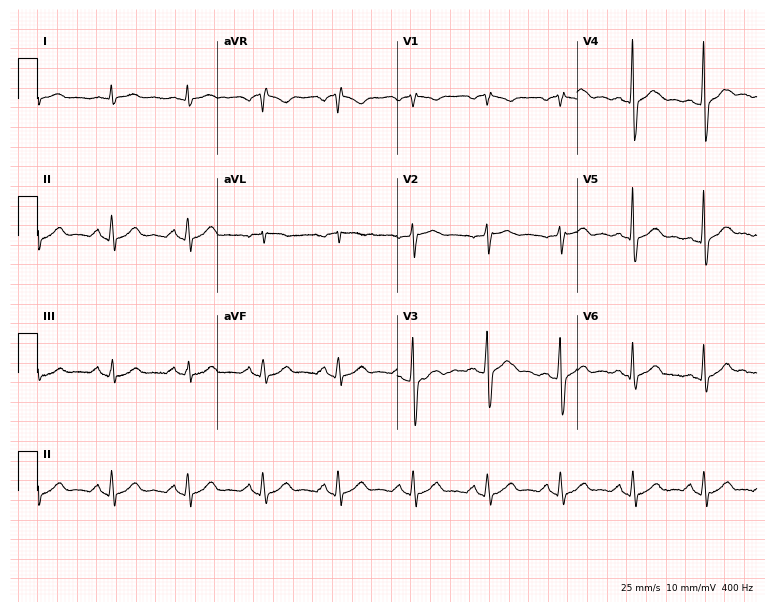
Standard 12-lead ECG recorded from a 67-year-old male. Read as a normal ECG.